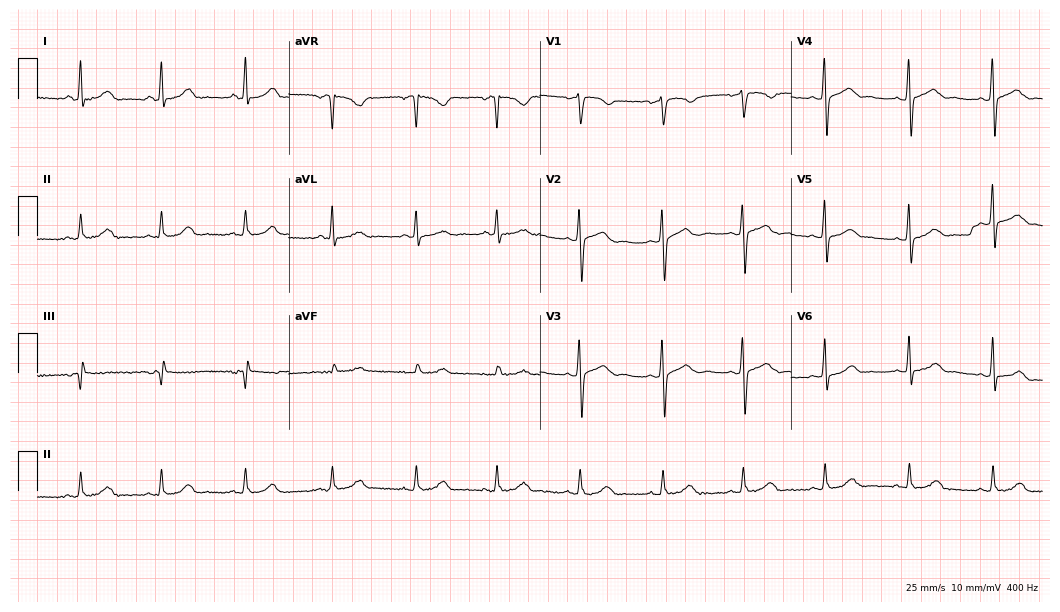
12-lead ECG from a woman, 44 years old (10.2-second recording at 400 Hz). Recorded interpretation: within normal limits.